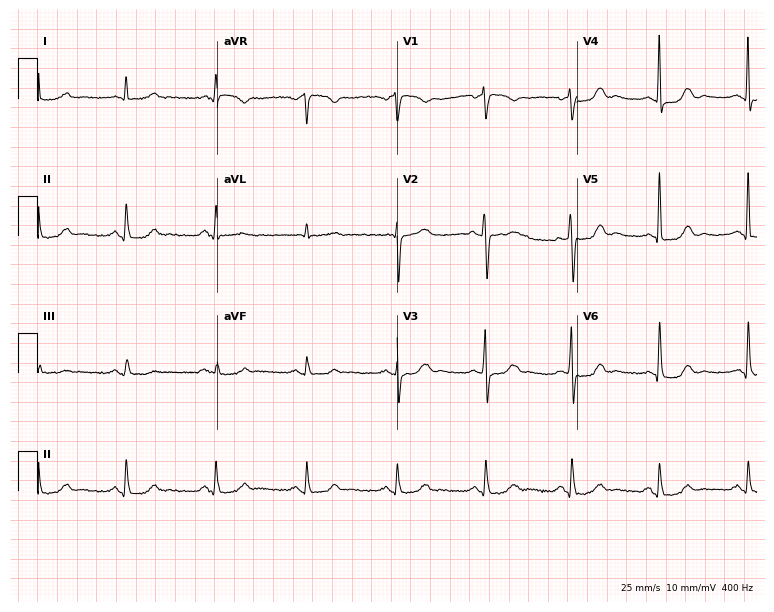
Standard 12-lead ECG recorded from a 72-year-old woman (7.3-second recording at 400 Hz). Read as a normal ECG.